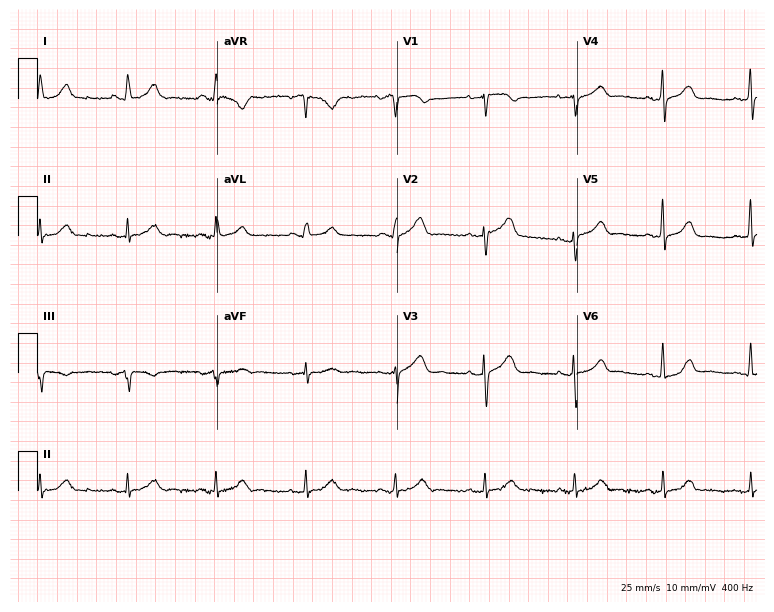
12-lead ECG from a 61-year-old female patient. No first-degree AV block, right bundle branch block, left bundle branch block, sinus bradycardia, atrial fibrillation or sinus tachycardia recorded for this tracing. Findings outside these six are not listed.